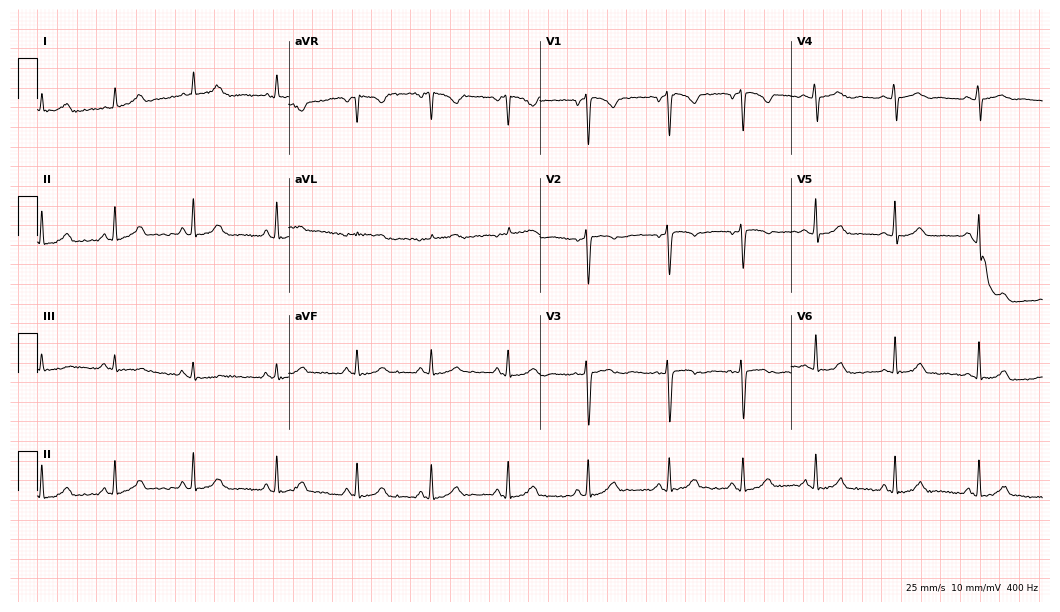
12-lead ECG from a woman, 18 years old (10.2-second recording at 400 Hz). Recorded interpretation: within normal limits.